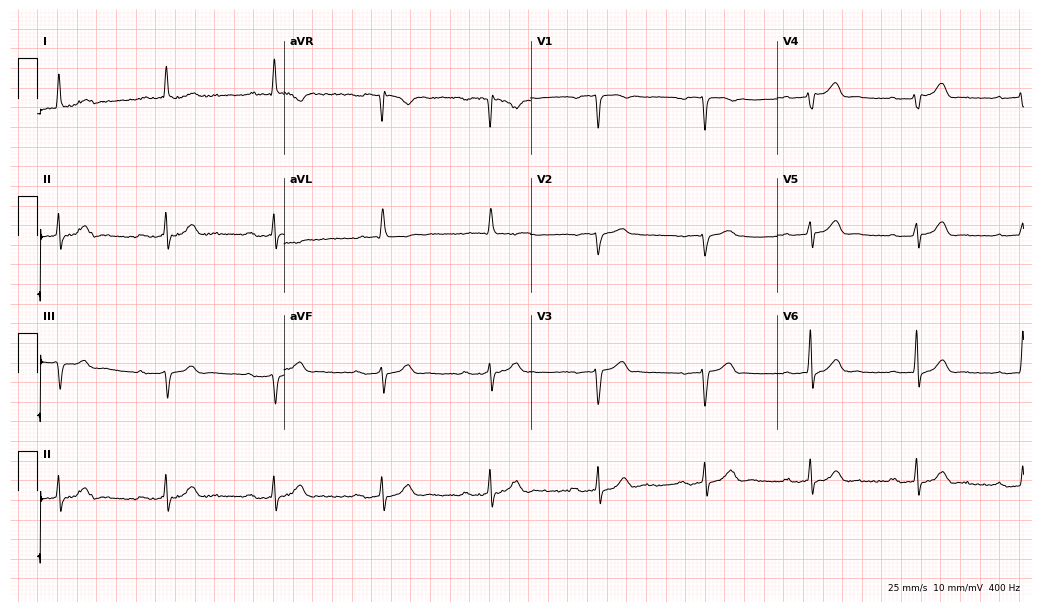
Standard 12-lead ECG recorded from an 85-year-old man. None of these six findings is recorded: first-degree AV block, right bundle branch block, left bundle branch block, sinus bradycardia, atrial fibrillation, sinus tachycardia.